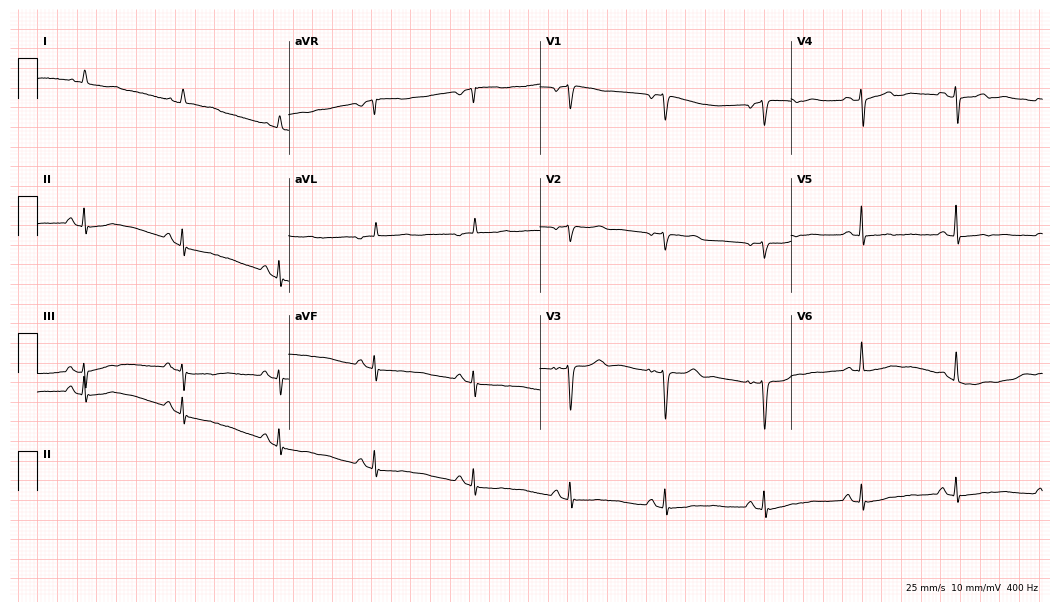
ECG (10.2-second recording at 400 Hz) — an 80-year-old female. Screened for six findings — first-degree AV block, right bundle branch block, left bundle branch block, sinus bradycardia, atrial fibrillation, sinus tachycardia — none is recorded. Findings outside these six are not listed.